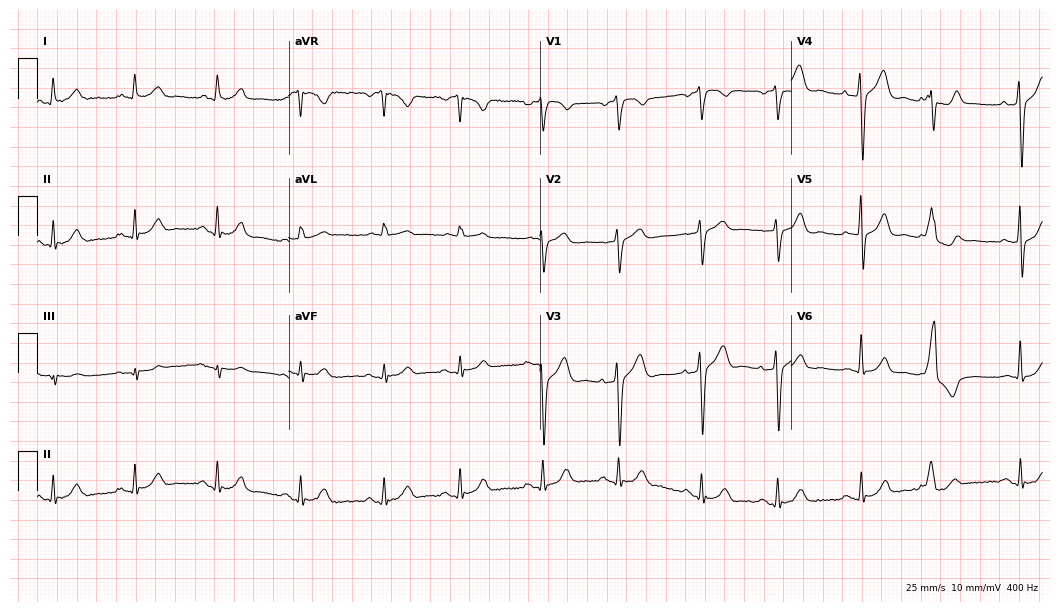
Standard 12-lead ECG recorded from a male, 76 years old (10.2-second recording at 400 Hz). Read as a normal ECG.